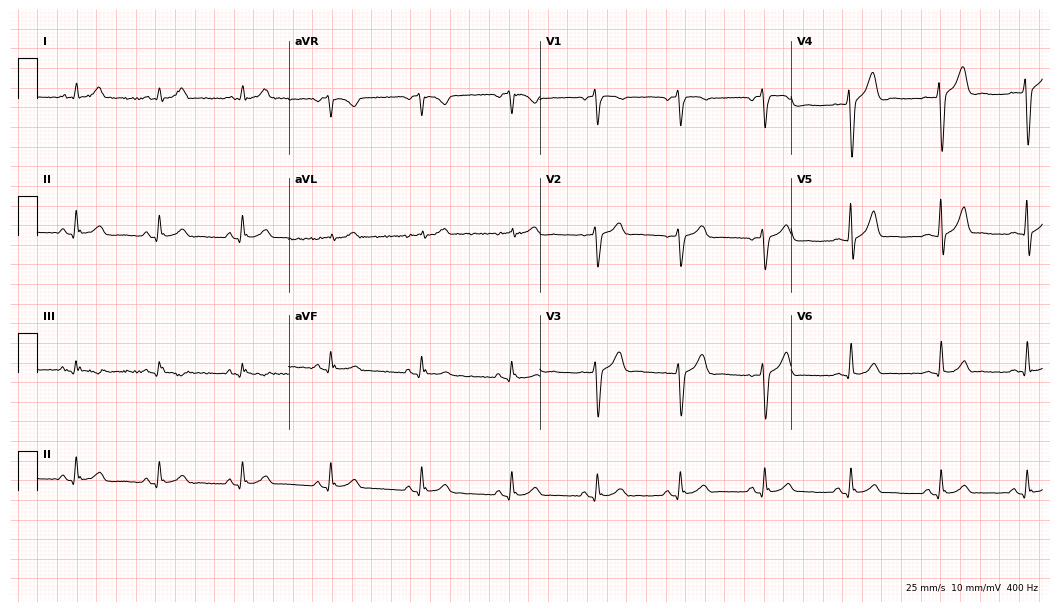
Electrocardiogram, a male, 31 years old. Overall reading on record: normal ECG.